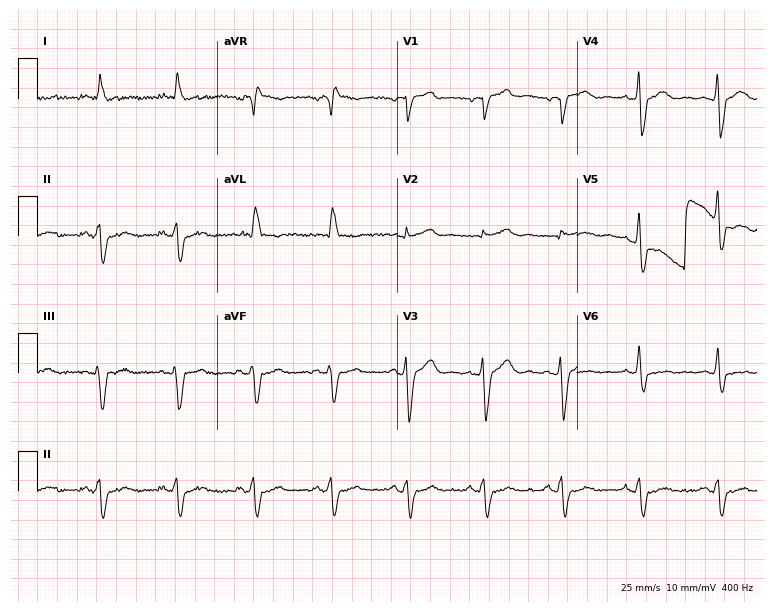
Standard 12-lead ECG recorded from a male patient, 68 years old (7.3-second recording at 400 Hz). The tracing shows left bundle branch block (LBBB).